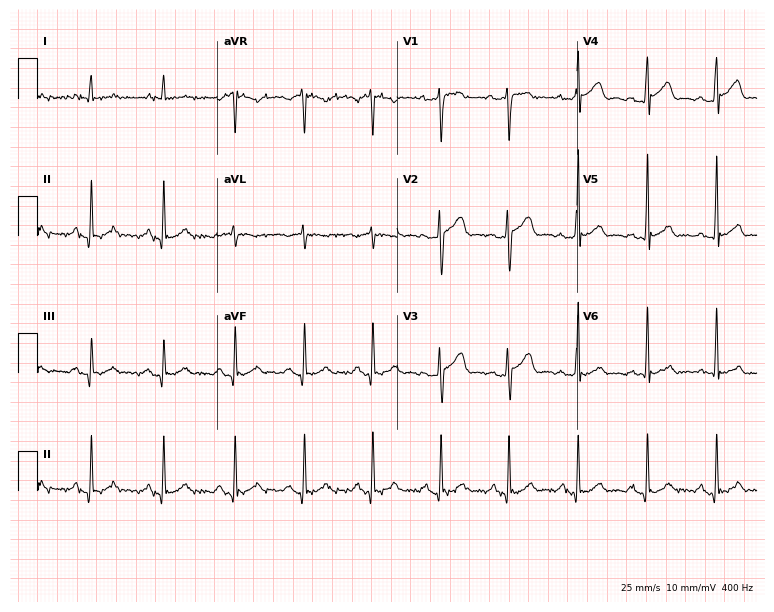
Standard 12-lead ECG recorded from a 58-year-old male patient (7.3-second recording at 400 Hz). Read as a normal ECG.